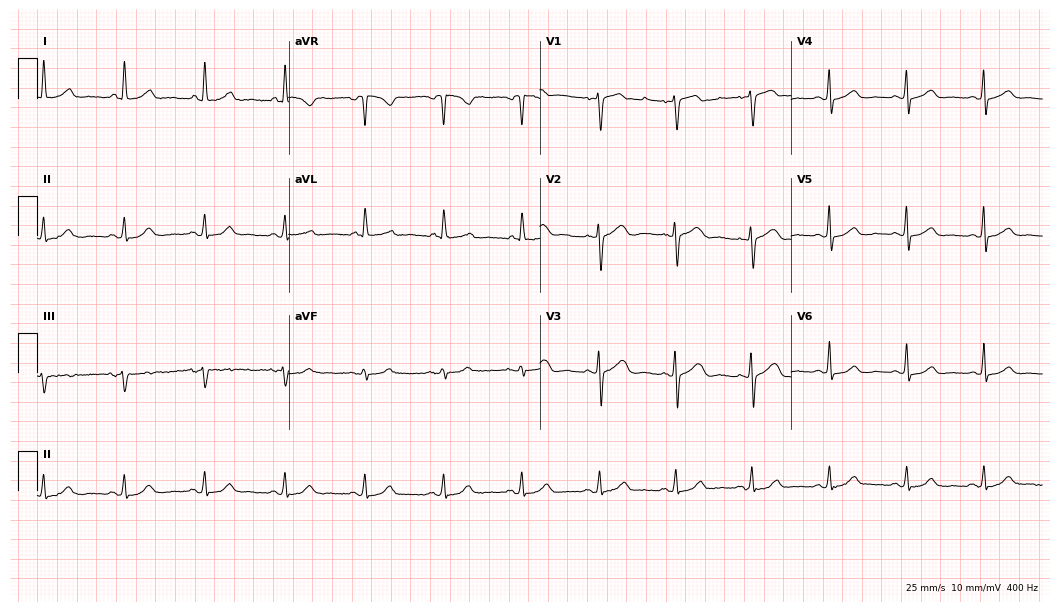
12-lead ECG from a 78-year-old female patient. Recorded interpretation: within normal limits.